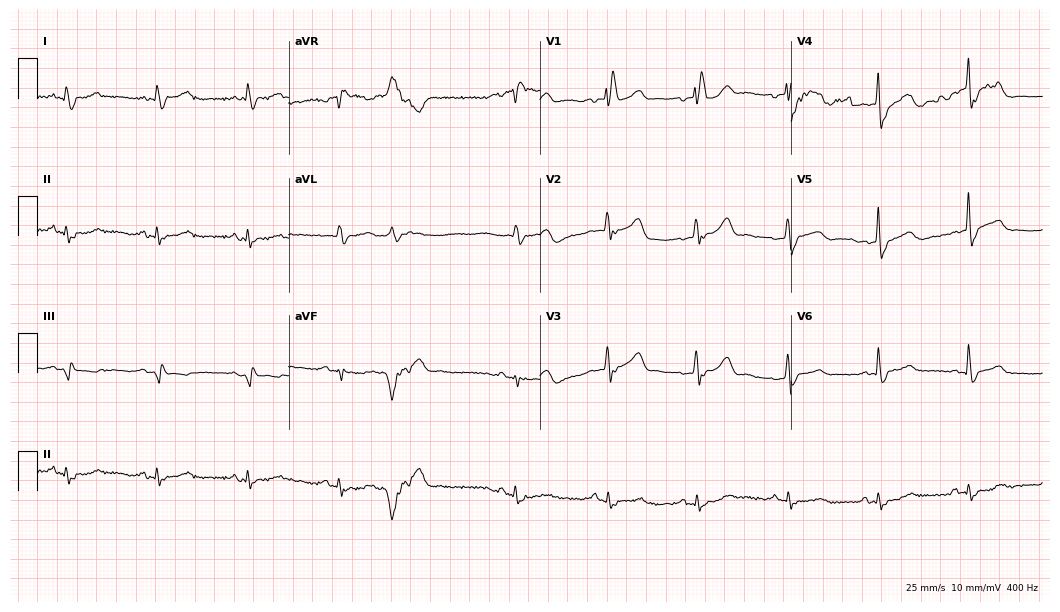
12-lead ECG from a 69-year-old male (10.2-second recording at 400 Hz). Shows right bundle branch block.